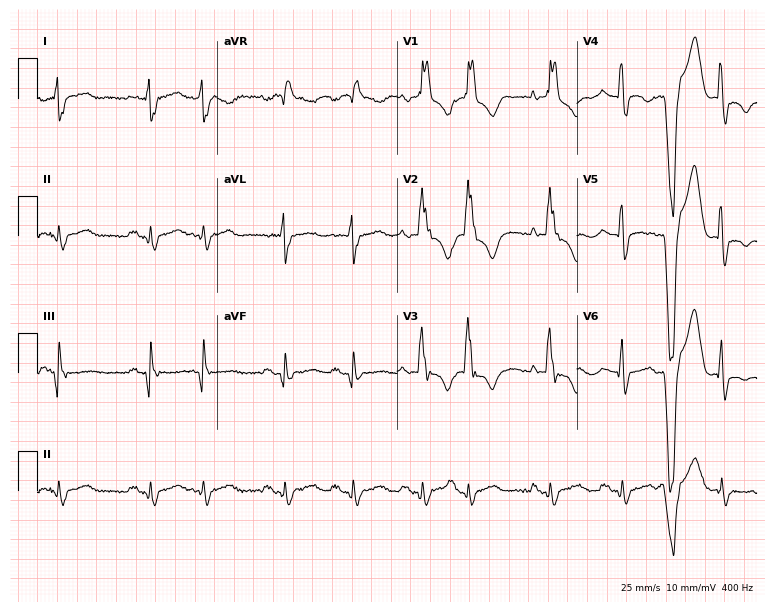
Standard 12-lead ECG recorded from a 46-year-old woman. The tracing shows right bundle branch block.